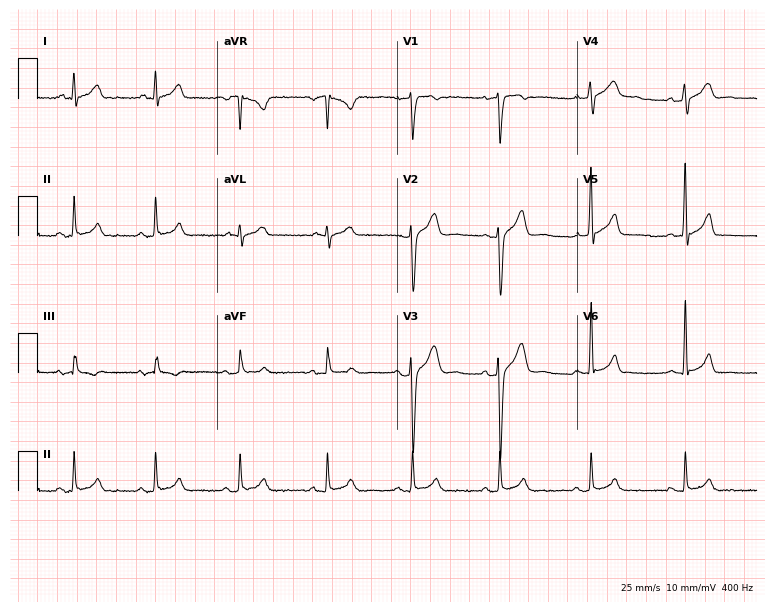
Resting 12-lead electrocardiogram (7.3-second recording at 400 Hz). Patient: a 39-year-old man. Read as a normal ECG.